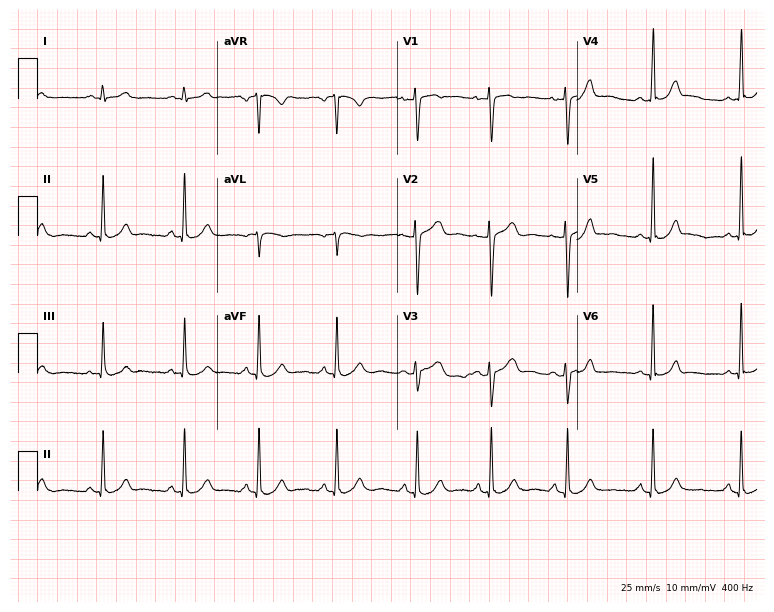
12-lead ECG from a female patient, 20 years old. Labelled as a normal ECG.